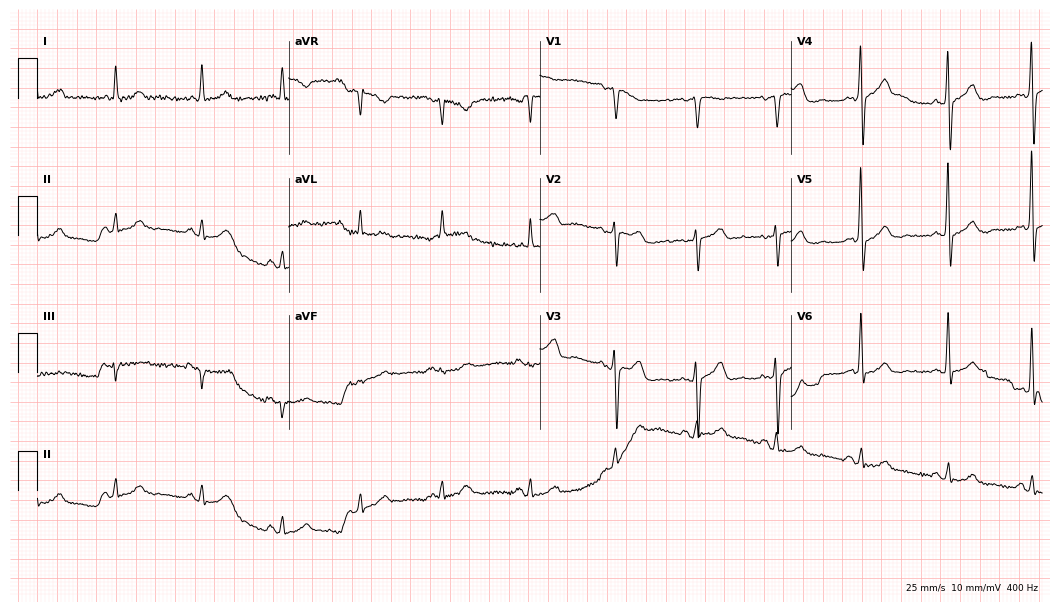
ECG — a male, 73 years old. Labelled as a normal ECG.